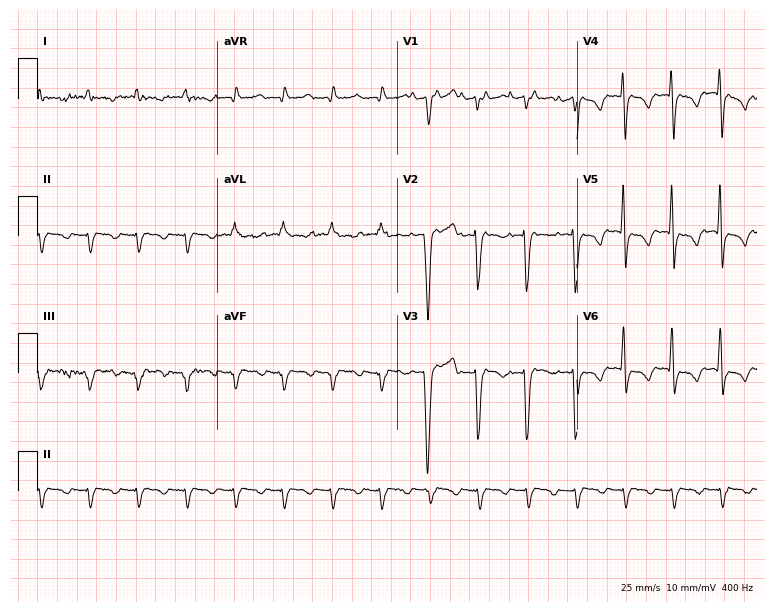
ECG — a man, 36 years old. Findings include sinus tachycardia (a sinus rate of 100 beats per minute or more).